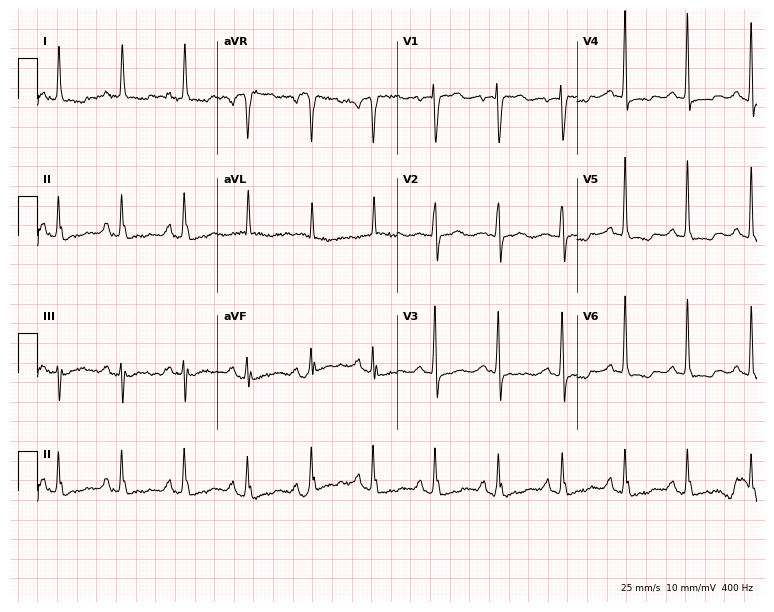
Resting 12-lead electrocardiogram (7.3-second recording at 400 Hz). Patient: a woman, 77 years old. Read as a normal ECG.